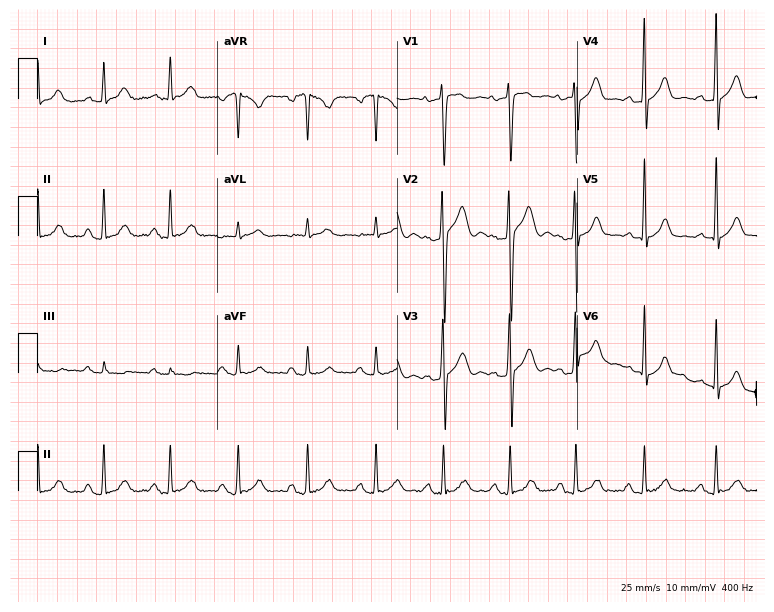
Electrocardiogram, a man, 22 years old. Of the six screened findings (first-degree AV block, right bundle branch block (RBBB), left bundle branch block (LBBB), sinus bradycardia, atrial fibrillation (AF), sinus tachycardia), none is recorded. Other findings, if any, are not listed.